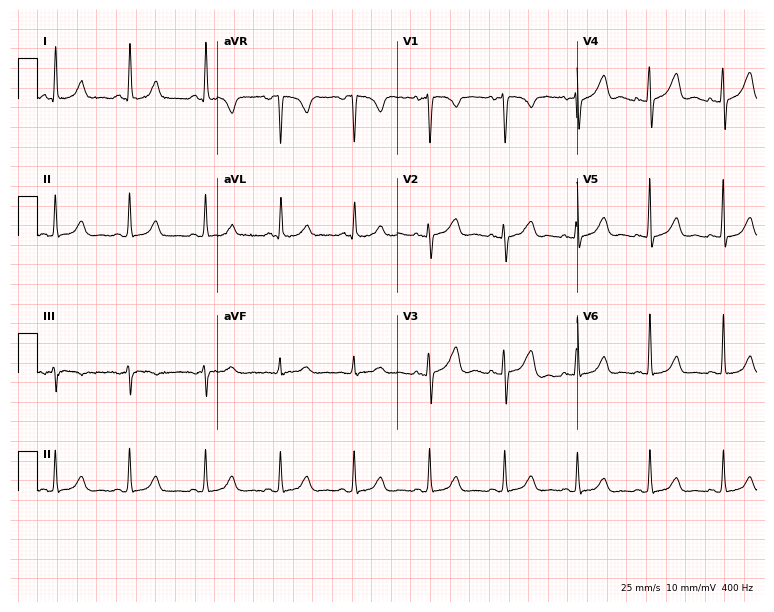
ECG (7.3-second recording at 400 Hz) — a female, 44 years old. Screened for six findings — first-degree AV block, right bundle branch block, left bundle branch block, sinus bradycardia, atrial fibrillation, sinus tachycardia — none is recorded. Other findings, if any, are not listed.